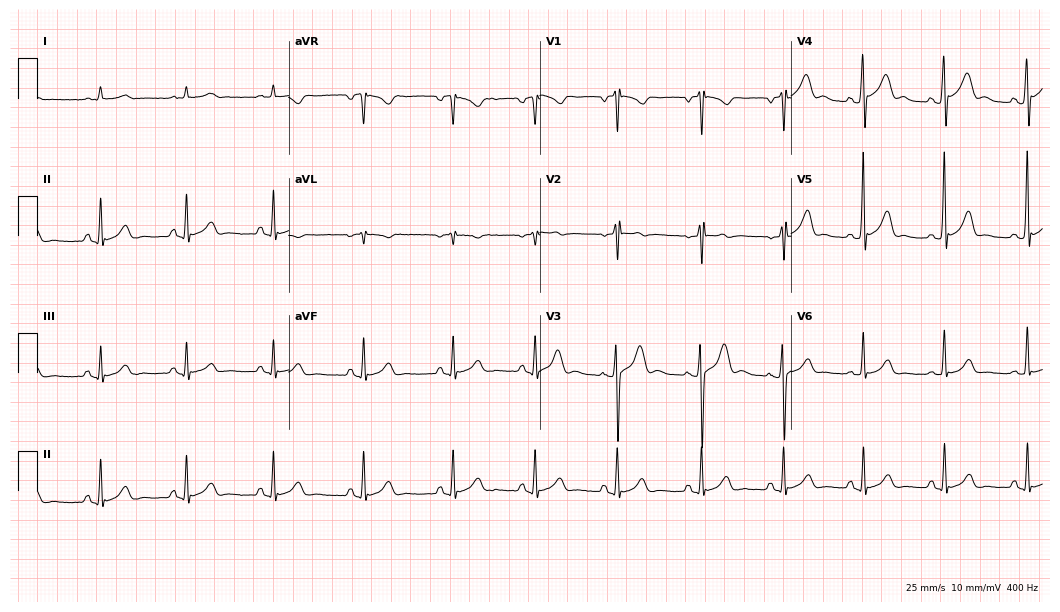
Standard 12-lead ECG recorded from a man, 20 years old (10.2-second recording at 400 Hz). Read as a normal ECG.